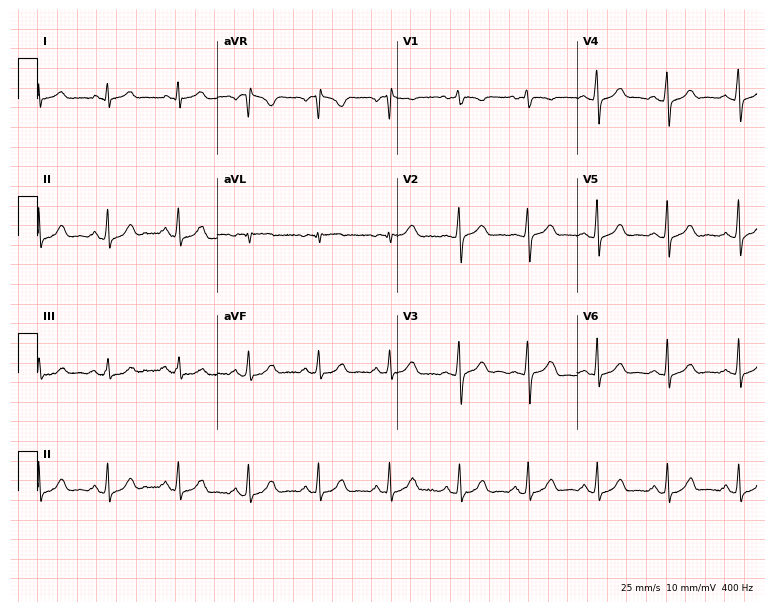
ECG — a woman, 39 years old. Labelled as a normal ECG.